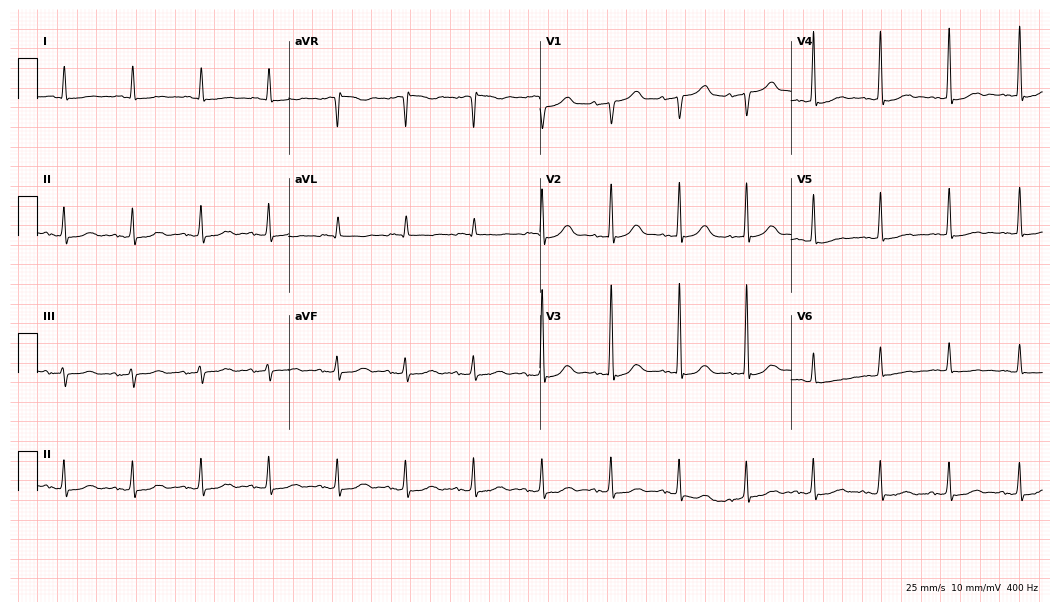
Resting 12-lead electrocardiogram (10.2-second recording at 400 Hz). Patient: a woman, 81 years old. None of these six findings is recorded: first-degree AV block, right bundle branch block (RBBB), left bundle branch block (LBBB), sinus bradycardia, atrial fibrillation (AF), sinus tachycardia. Only these six findings were labelled.